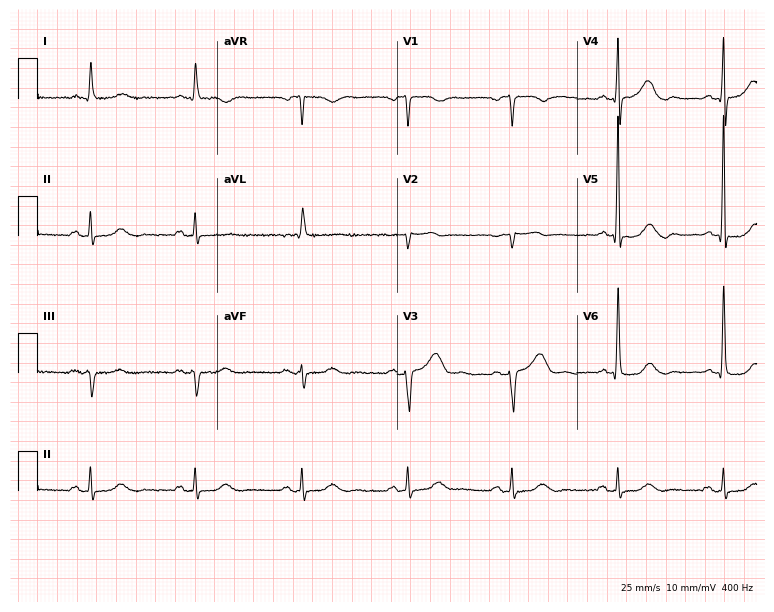
Resting 12-lead electrocardiogram (7.3-second recording at 400 Hz). Patient: a 73-year-old male. None of these six findings is recorded: first-degree AV block, right bundle branch block, left bundle branch block, sinus bradycardia, atrial fibrillation, sinus tachycardia.